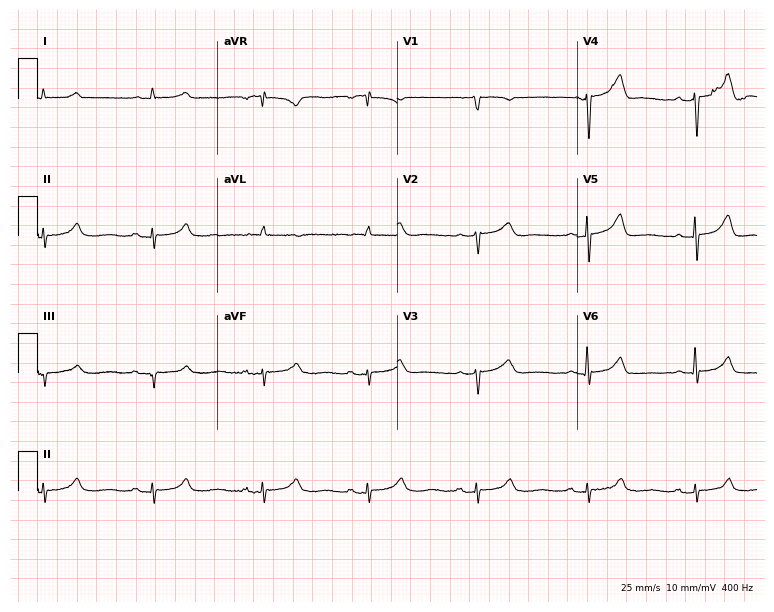
Standard 12-lead ECG recorded from a male, 74 years old (7.3-second recording at 400 Hz). None of these six findings is recorded: first-degree AV block, right bundle branch block, left bundle branch block, sinus bradycardia, atrial fibrillation, sinus tachycardia. Only these six findings were labelled.